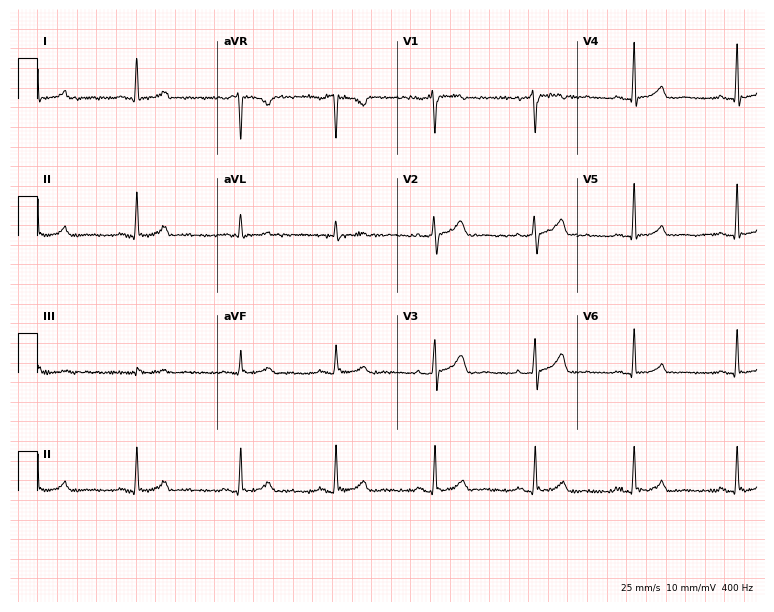
Resting 12-lead electrocardiogram (7.3-second recording at 400 Hz). Patient: a 60-year-old female. None of these six findings is recorded: first-degree AV block, right bundle branch block, left bundle branch block, sinus bradycardia, atrial fibrillation, sinus tachycardia.